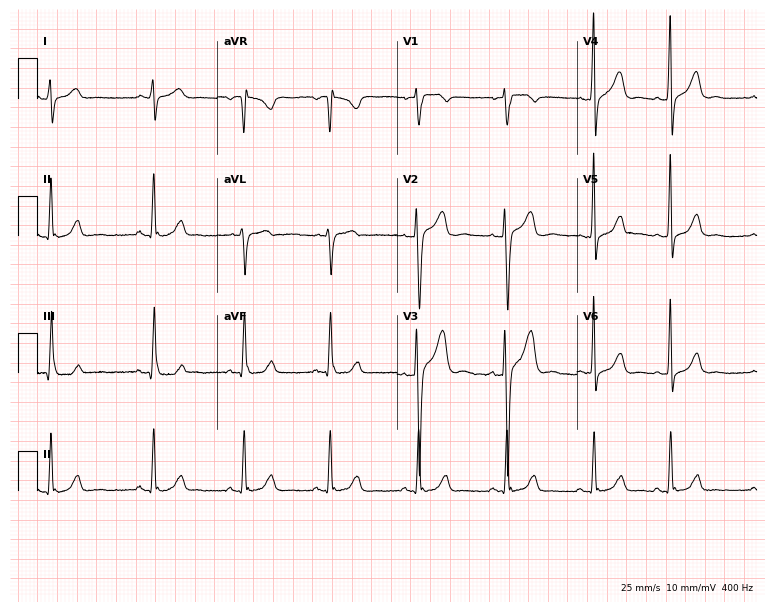
Electrocardiogram (7.3-second recording at 400 Hz), a 37-year-old male patient. Overall reading on record: normal ECG.